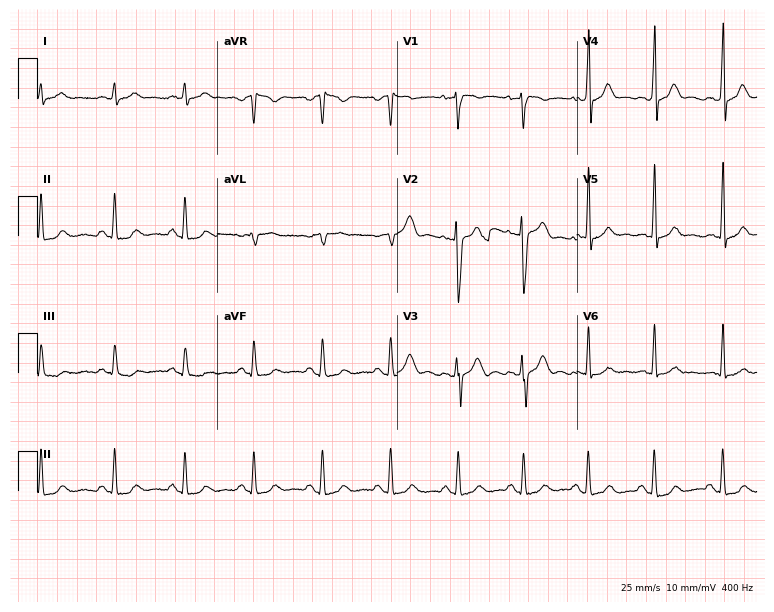
Electrocardiogram, a man, 28 years old. Of the six screened findings (first-degree AV block, right bundle branch block, left bundle branch block, sinus bradycardia, atrial fibrillation, sinus tachycardia), none is recorded. Other findings, if any, are not listed.